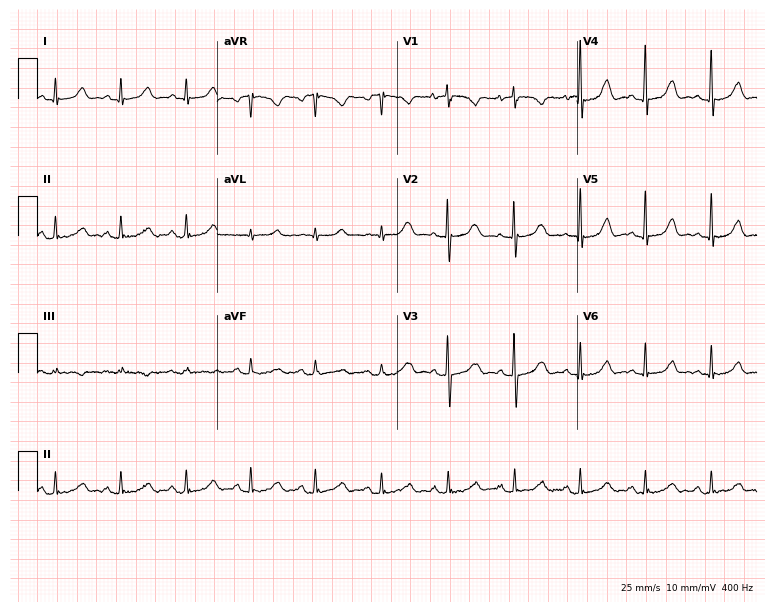
Standard 12-lead ECG recorded from a female patient, 75 years old (7.3-second recording at 400 Hz). Read as a normal ECG.